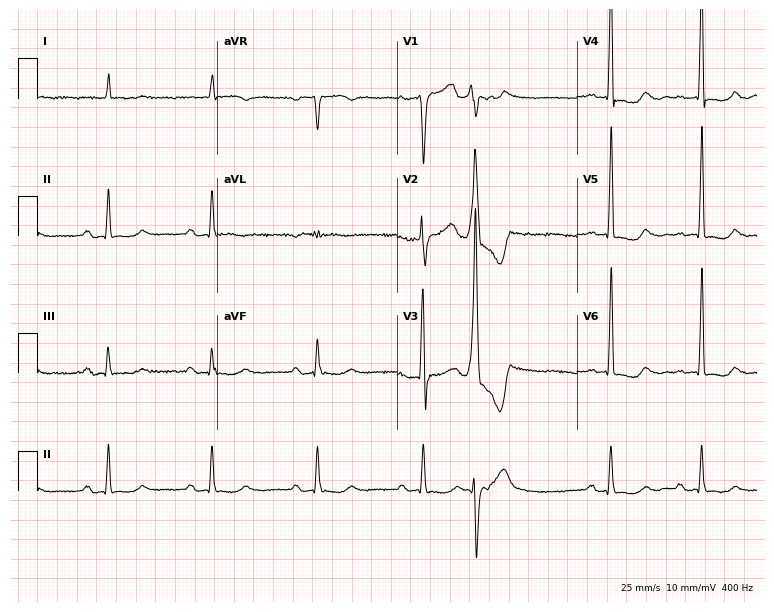
12-lead ECG from an 86-year-old male (7.3-second recording at 400 Hz). Shows first-degree AV block.